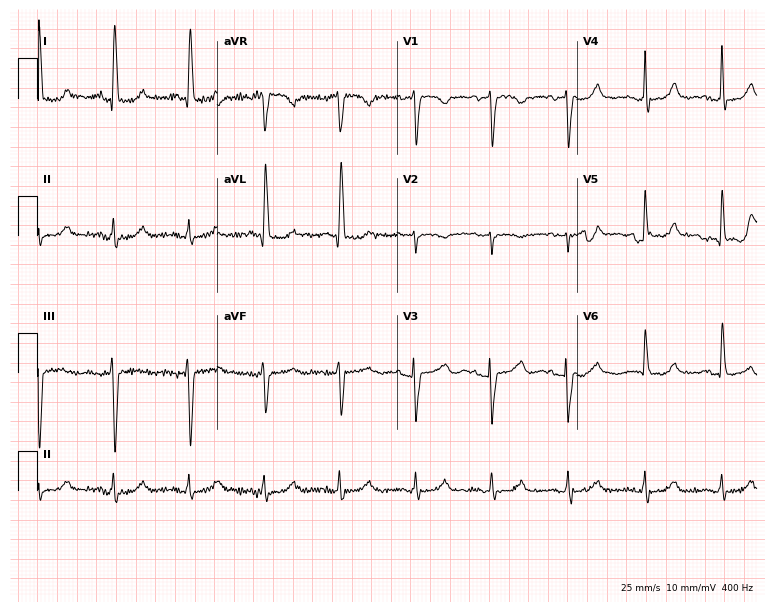
ECG — a female, 63 years old. Screened for six findings — first-degree AV block, right bundle branch block, left bundle branch block, sinus bradycardia, atrial fibrillation, sinus tachycardia — none is recorded. Other findings, if any, are not listed.